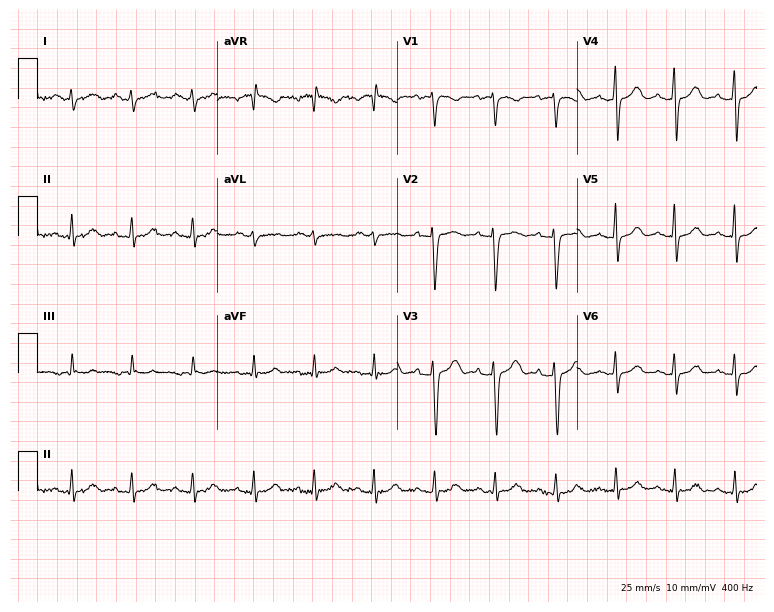
ECG (7.3-second recording at 400 Hz) — a female patient, 38 years old. Screened for six findings — first-degree AV block, right bundle branch block, left bundle branch block, sinus bradycardia, atrial fibrillation, sinus tachycardia — none is recorded. Only these six findings were labelled.